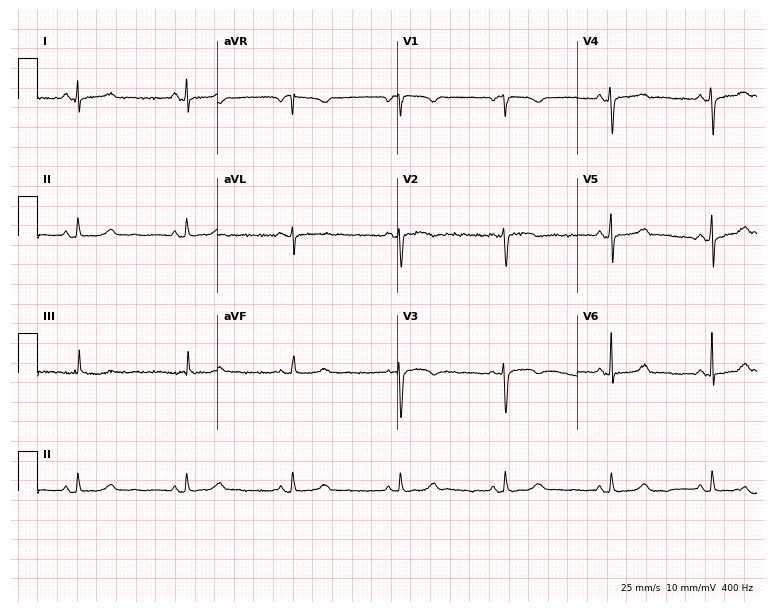
Resting 12-lead electrocardiogram (7.3-second recording at 400 Hz). Patient: a 40-year-old female. Read as a normal ECG.